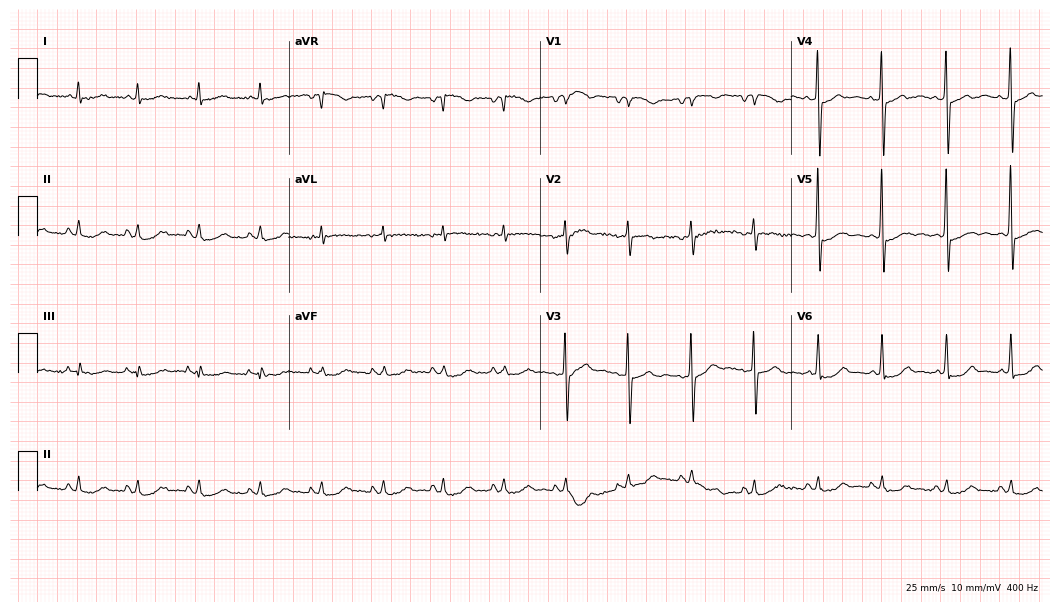
ECG — a female, 80 years old. Screened for six findings — first-degree AV block, right bundle branch block (RBBB), left bundle branch block (LBBB), sinus bradycardia, atrial fibrillation (AF), sinus tachycardia — none is recorded. Only these six findings were labelled.